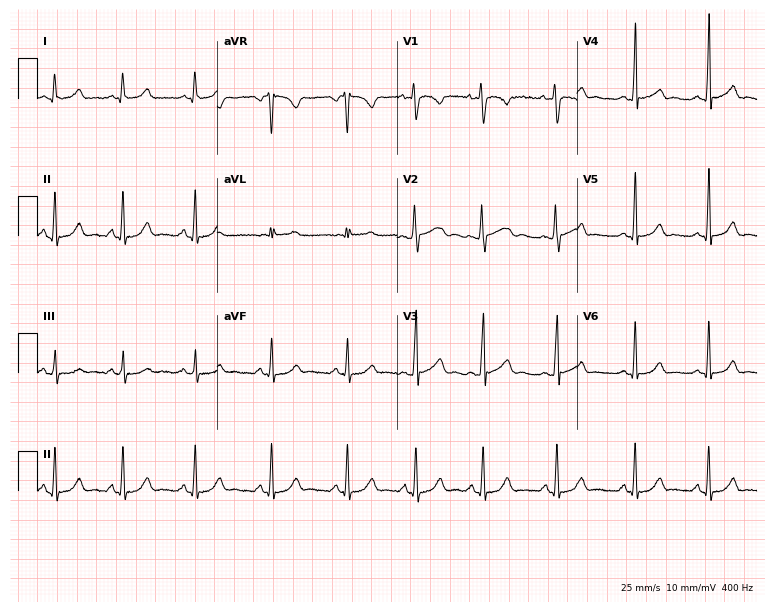
Resting 12-lead electrocardiogram (7.3-second recording at 400 Hz). Patient: a 21-year-old woman. None of these six findings is recorded: first-degree AV block, right bundle branch block (RBBB), left bundle branch block (LBBB), sinus bradycardia, atrial fibrillation (AF), sinus tachycardia. Other findings, if any, are not listed.